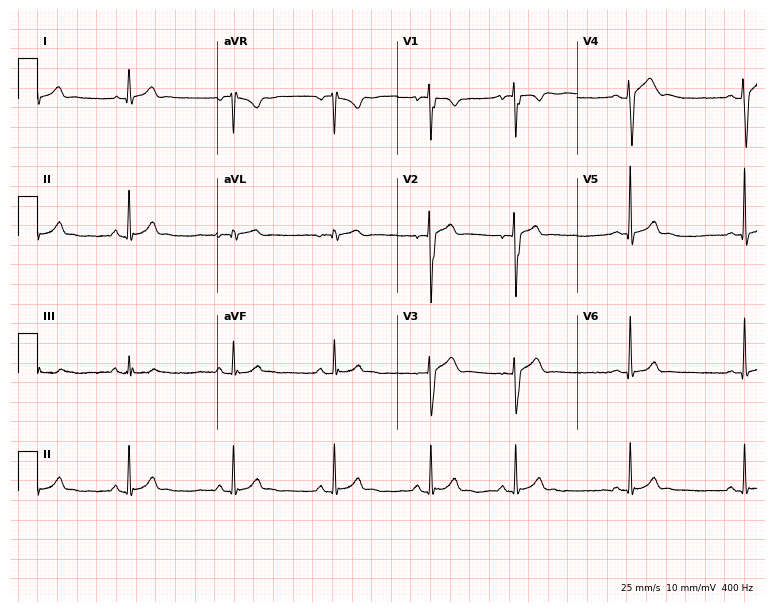
Electrocardiogram (7.3-second recording at 400 Hz), a male patient, 18 years old. Overall reading on record: normal ECG.